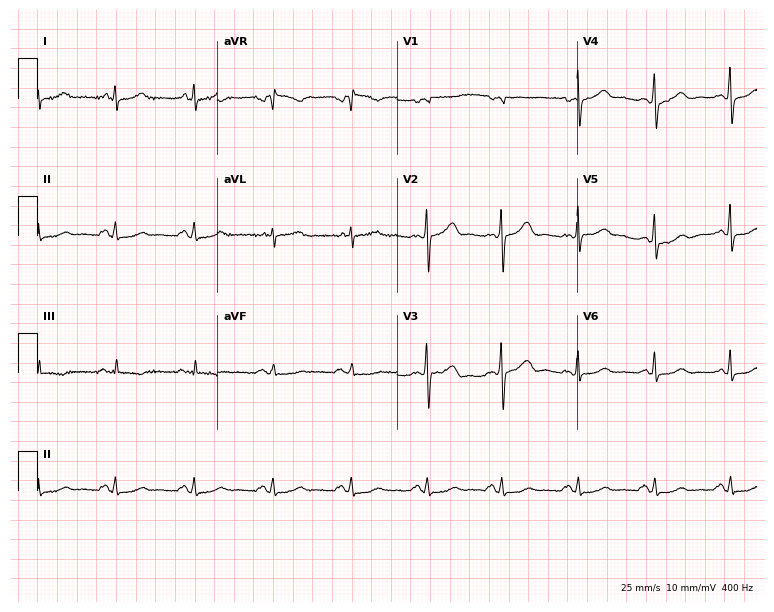
12-lead ECG from a female patient, 61 years old. Recorded interpretation: within normal limits.